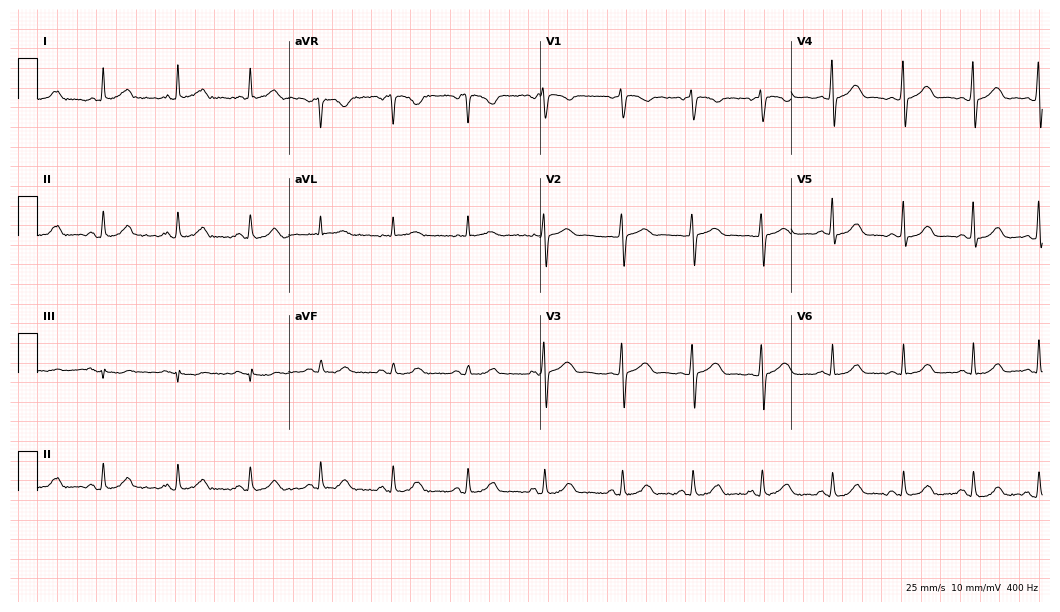
Electrocardiogram, a 34-year-old woman. Overall reading on record: normal ECG.